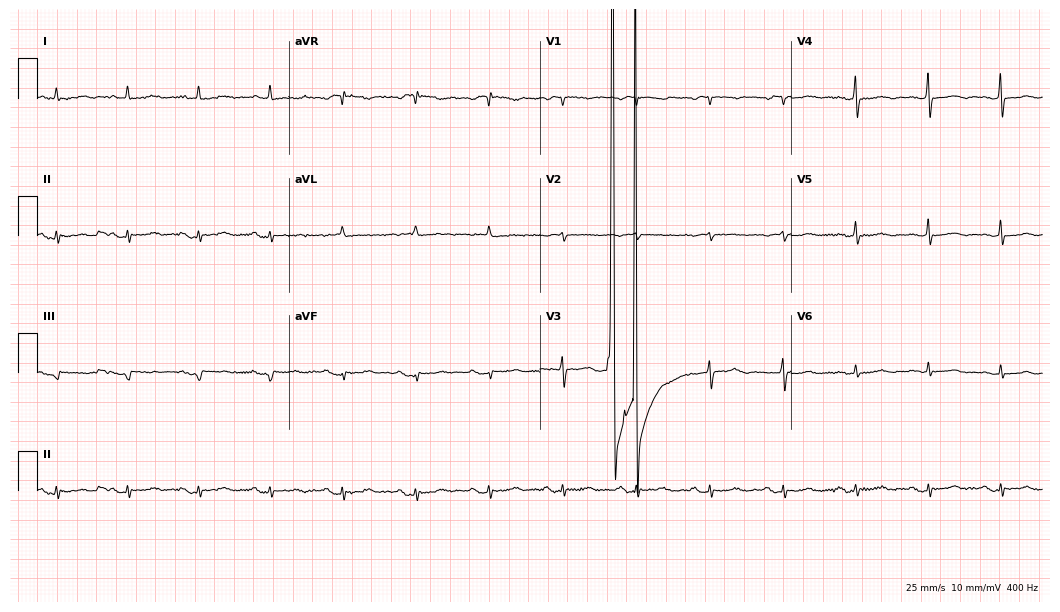
Electrocardiogram, a woman, 75 years old. Of the six screened findings (first-degree AV block, right bundle branch block, left bundle branch block, sinus bradycardia, atrial fibrillation, sinus tachycardia), none is recorded. Other findings, if any, are not listed.